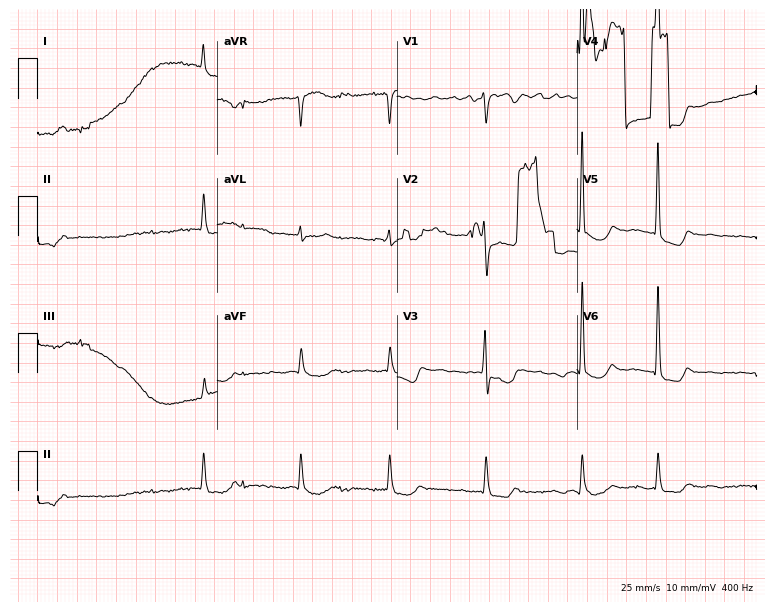
Resting 12-lead electrocardiogram. Patient: a female, 61 years old. The tracing shows atrial fibrillation (AF).